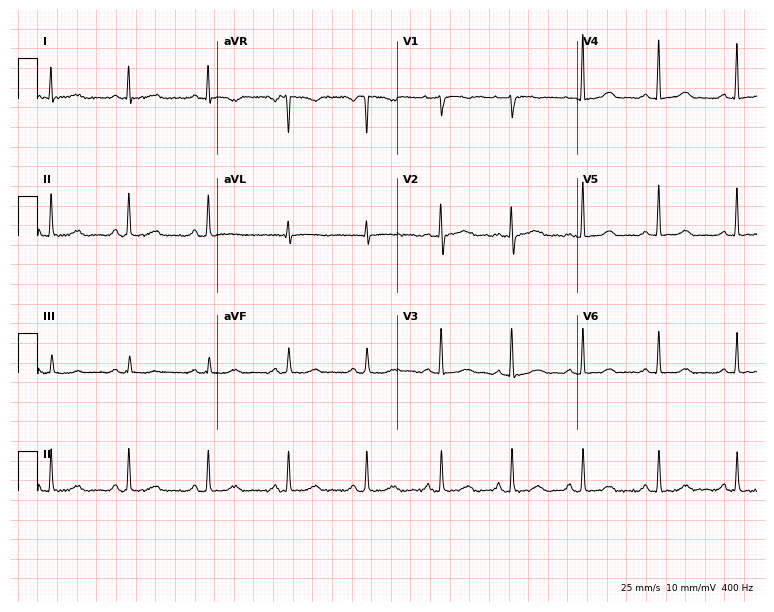
Standard 12-lead ECG recorded from a female patient, 59 years old. Read as a normal ECG.